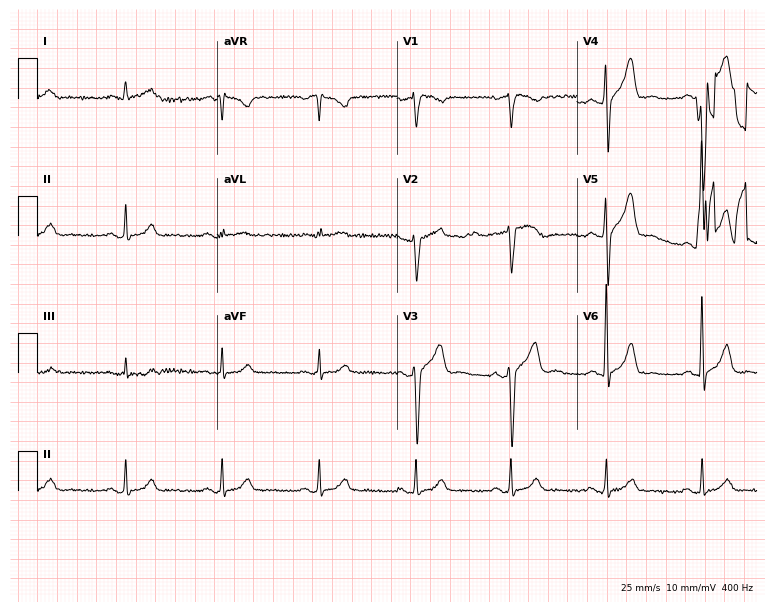
ECG (7.3-second recording at 400 Hz) — a 62-year-old male patient. Screened for six findings — first-degree AV block, right bundle branch block (RBBB), left bundle branch block (LBBB), sinus bradycardia, atrial fibrillation (AF), sinus tachycardia — none is recorded.